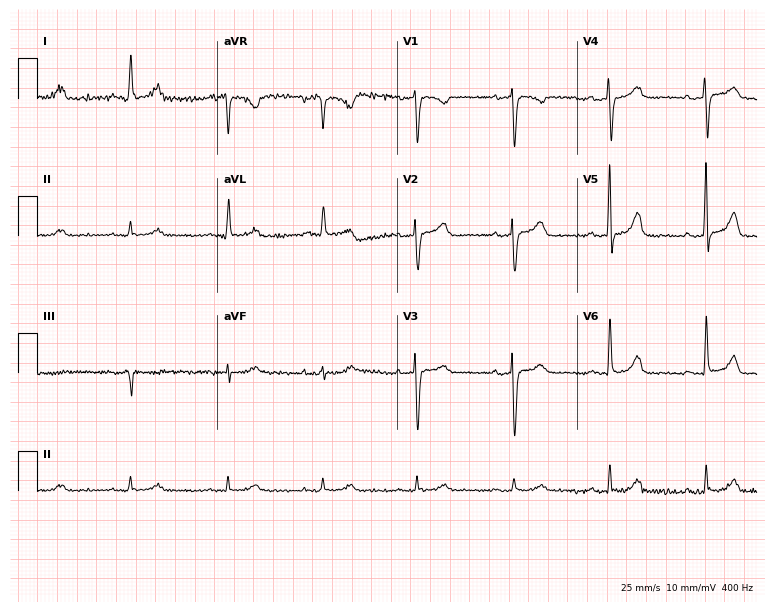
Standard 12-lead ECG recorded from a woman, 80 years old (7.3-second recording at 400 Hz). Read as a normal ECG.